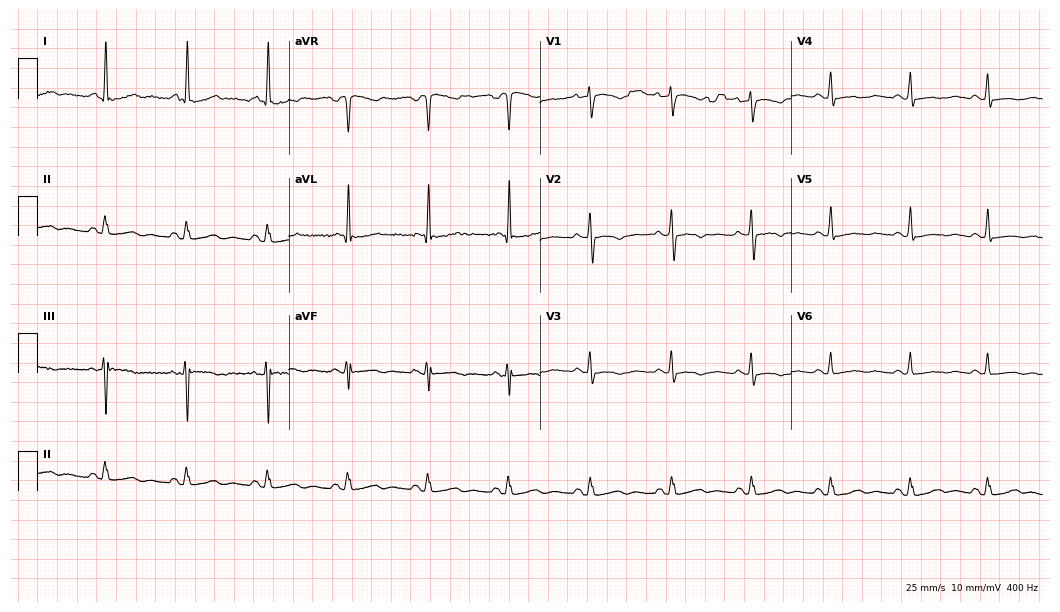
12-lead ECG (10.2-second recording at 400 Hz) from a 56-year-old female patient. Screened for six findings — first-degree AV block, right bundle branch block, left bundle branch block, sinus bradycardia, atrial fibrillation, sinus tachycardia — none is recorded. Findings outside these six are not listed.